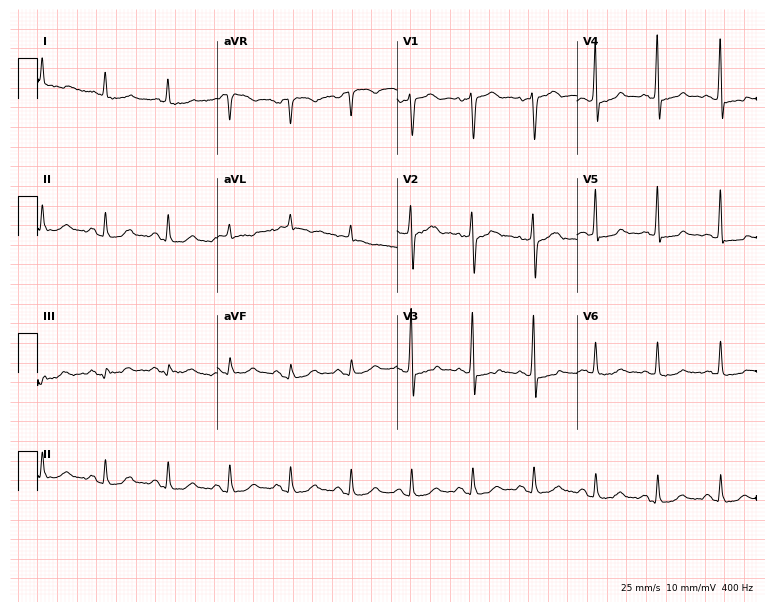
Resting 12-lead electrocardiogram. Patient: a 74-year-old female. None of these six findings is recorded: first-degree AV block, right bundle branch block (RBBB), left bundle branch block (LBBB), sinus bradycardia, atrial fibrillation (AF), sinus tachycardia. Other findings, if any, are not listed.